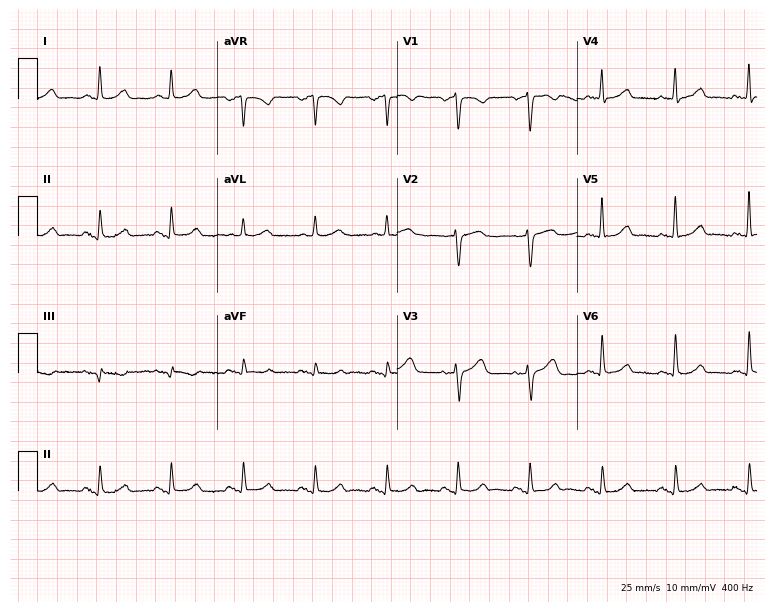
Standard 12-lead ECG recorded from a 62-year-old male patient. Read as a normal ECG.